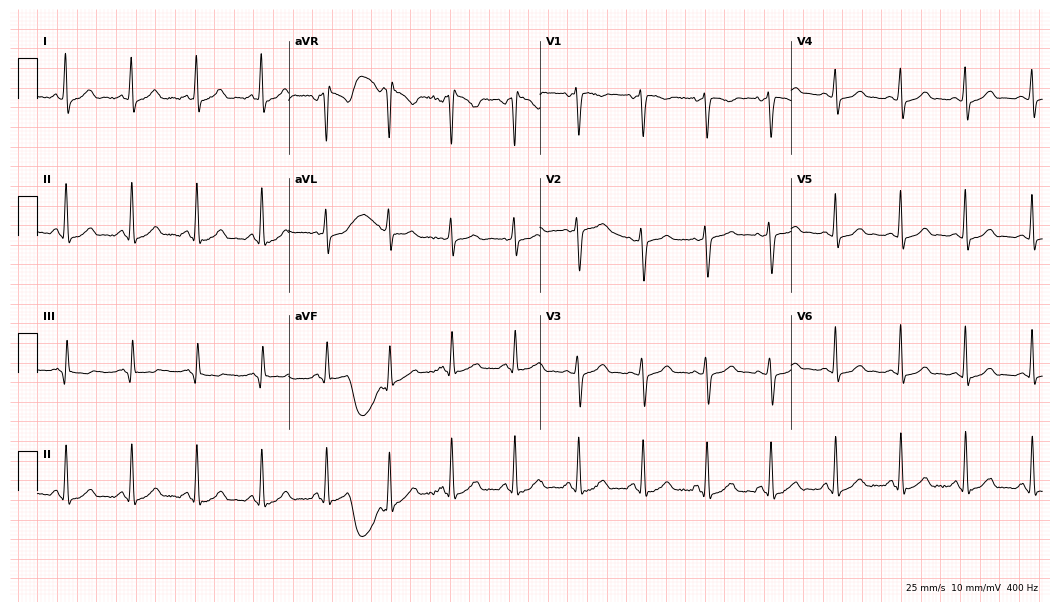
12-lead ECG from a female patient, 31 years old. Labelled as a normal ECG.